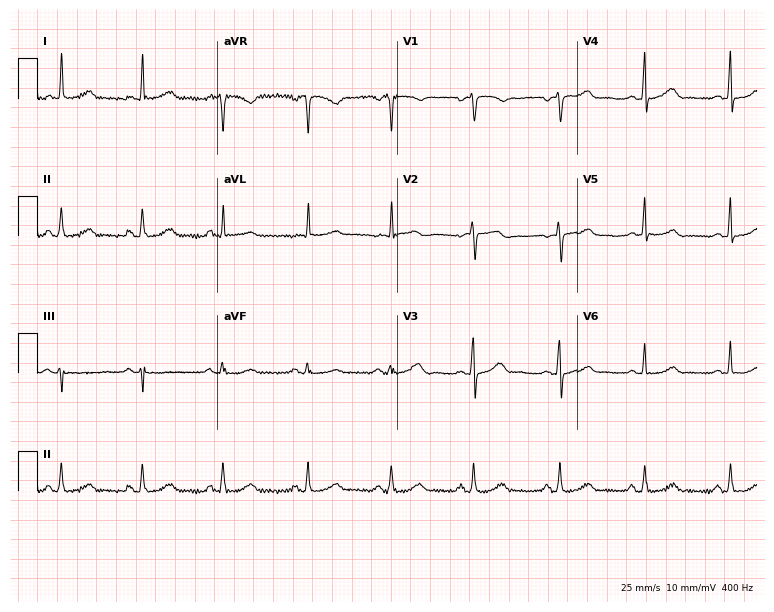
Electrocardiogram, a 64-year-old female. Overall reading on record: normal ECG.